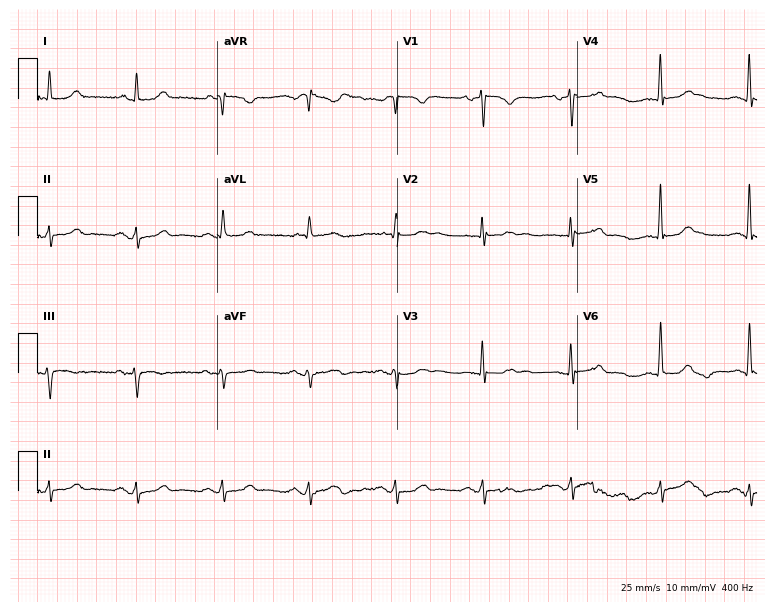
ECG — a man, 85 years old. Screened for six findings — first-degree AV block, right bundle branch block (RBBB), left bundle branch block (LBBB), sinus bradycardia, atrial fibrillation (AF), sinus tachycardia — none is recorded.